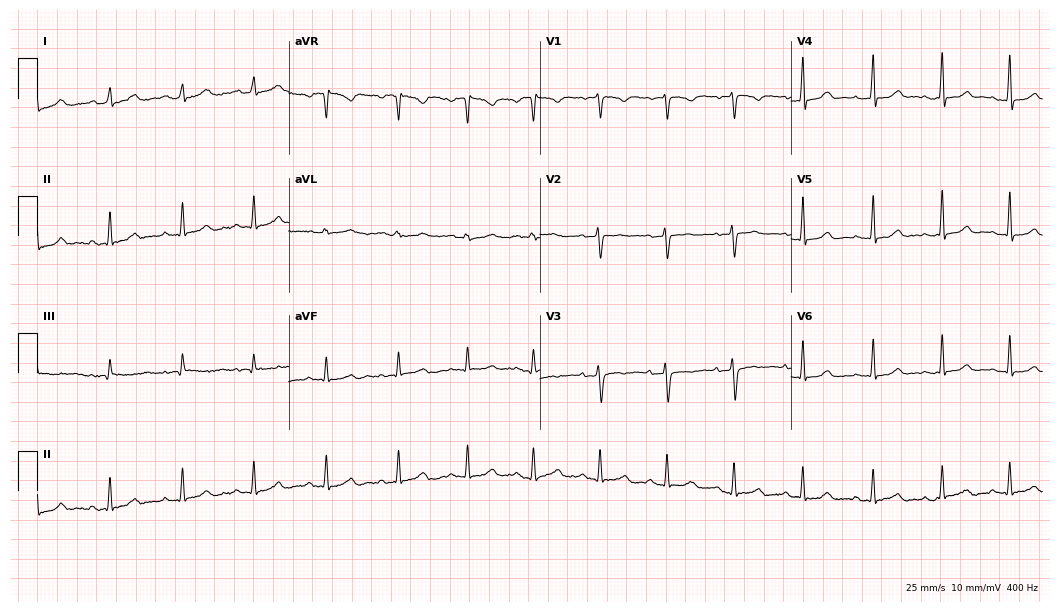
ECG (10.2-second recording at 400 Hz) — a 34-year-old woman. Labelled as a normal ECG.